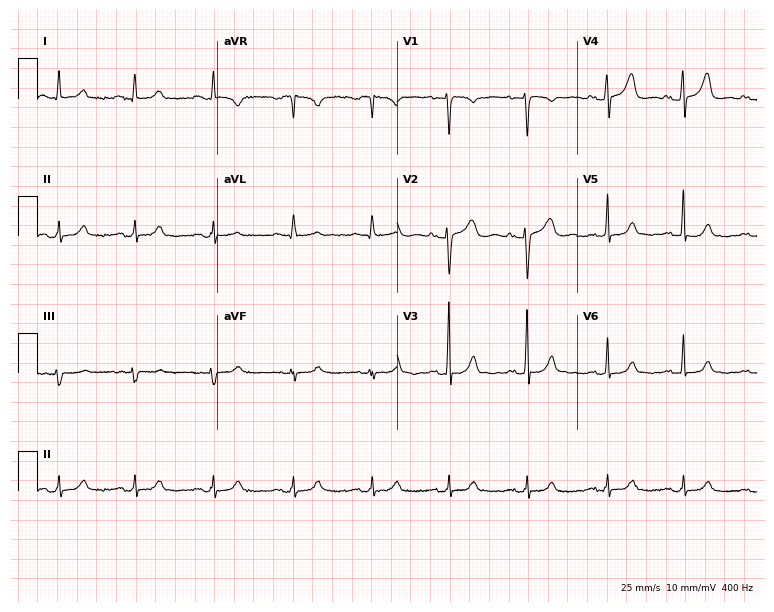
12-lead ECG from a 47-year-old woman. Recorded interpretation: within normal limits.